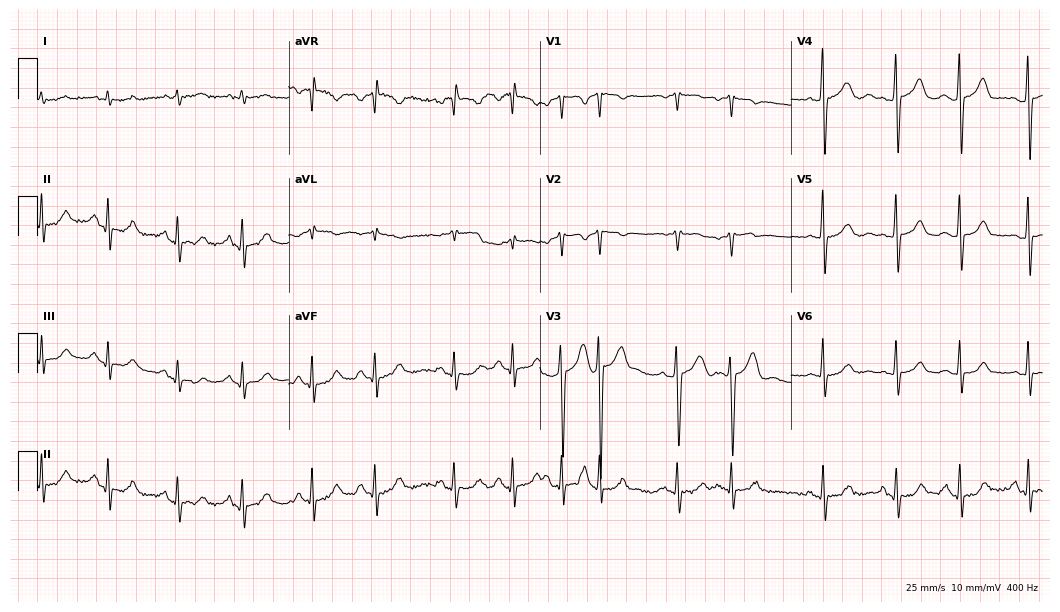
ECG (10.2-second recording at 400 Hz) — a man, 61 years old. Screened for six findings — first-degree AV block, right bundle branch block, left bundle branch block, sinus bradycardia, atrial fibrillation, sinus tachycardia — none is recorded.